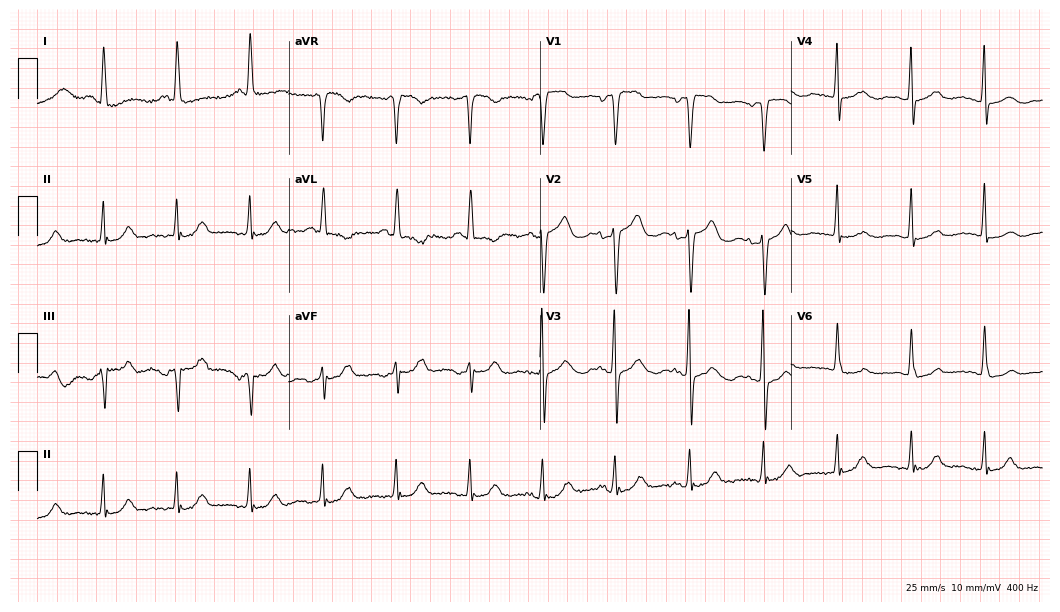
Standard 12-lead ECG recorded from a female, 77 years old. None of these six findings is recorded: first-degree AV block, right bundle branch block, left bundle branch block, sinus bradycardia, atrial fibrillation, sinus tachycardia. Other findings, if any, are not listed.